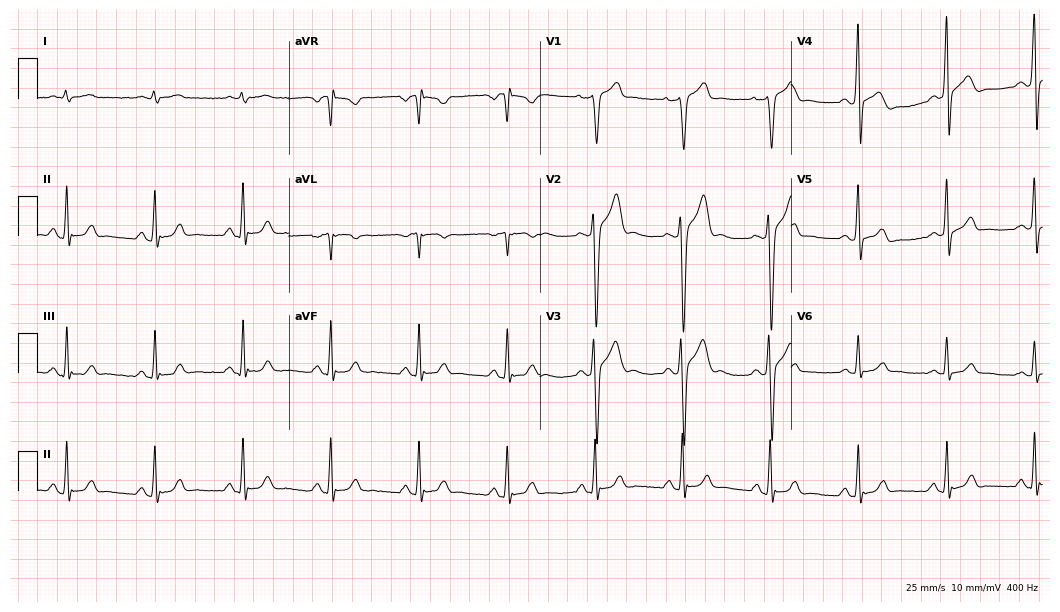
Electrocardiogram, a male patient, 62 years old. Of the six screened findings (first-degree AV block, right bundle branch block, left bundle branch block, sinus bradycardia, atrial fibrillation, sinus tachycardia), none is recorded. Only these six findings were labelled.